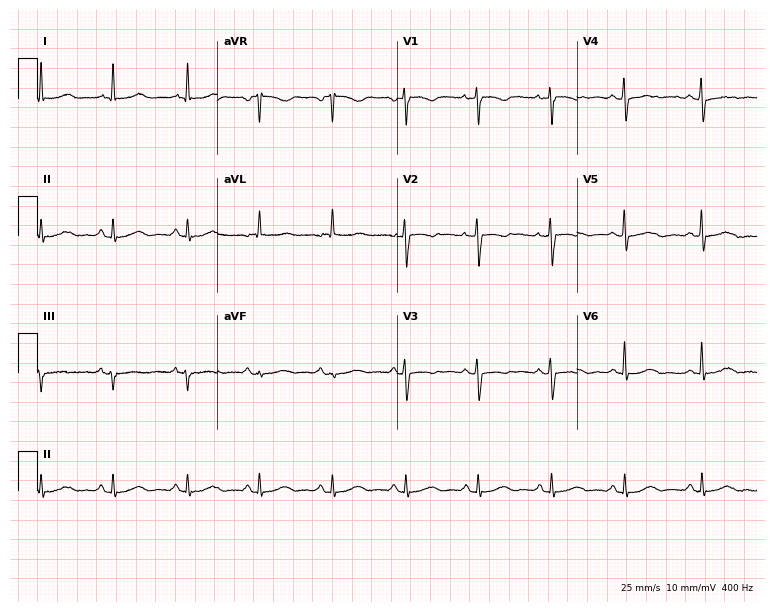
ECG — a female, 70 years old. Screened for six findings — first-degree AV block, right bundle branch block (RBBB), left bundle branch block (LBBB), sinus bradycardia, atrial fibrillation (AF), sinus tachycardia — none is recorded.